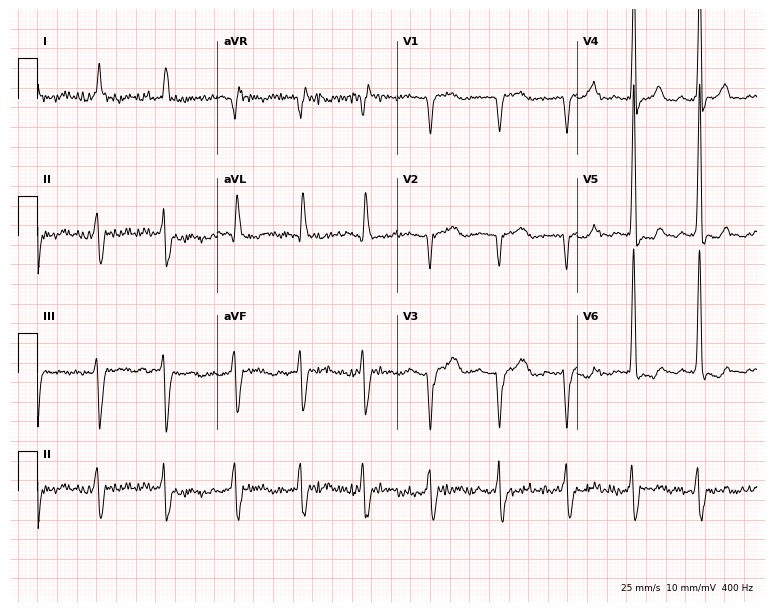
12-lead ECG from a male, 82 years old. Screened for six findings — first-degree AV block, right bundle branch block, left bundle branch block, sinus bradycardia, atrial fibrillation, sinus tachycardia — none is recorded. Other findings, if any, are not listed.